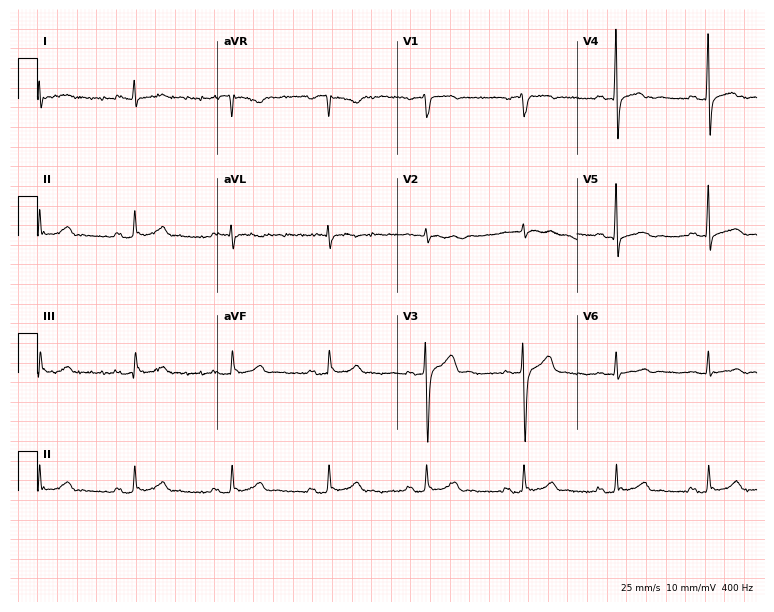
12-lead ECG (7.3-second recording at 400 Hz) from a 60-year-old man. Screened for six findings — first-degree AV block, right bundle branch block, left bundle branch block, sinus bradycardia, atrial fibrillation, sinus tachycardia — none is recorded. Findings outside these six are not listed.